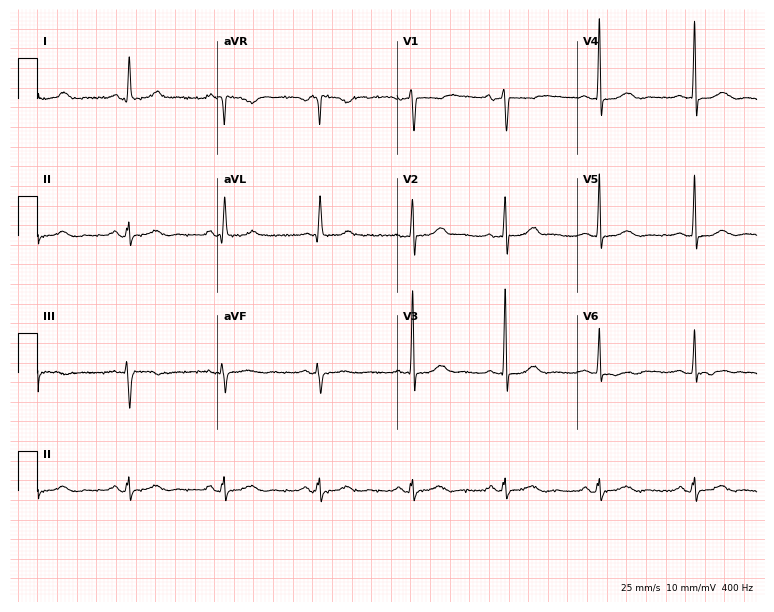
ECG (7.3-second recording at 400 Hz) — a woman, 67 years old. Screened for six findings — first-degree AV block, right bundle branch block, left bundle branch block, sinus bradycardia, atrial fibrillation, sinus tachycardia — none is recorded.